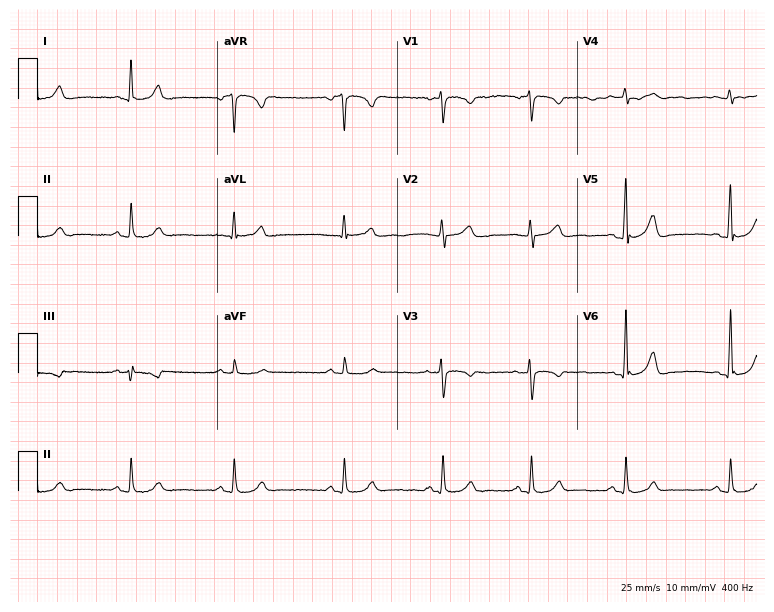
ECG — a 47-year-old female patient. Labelled as a normal ECG.